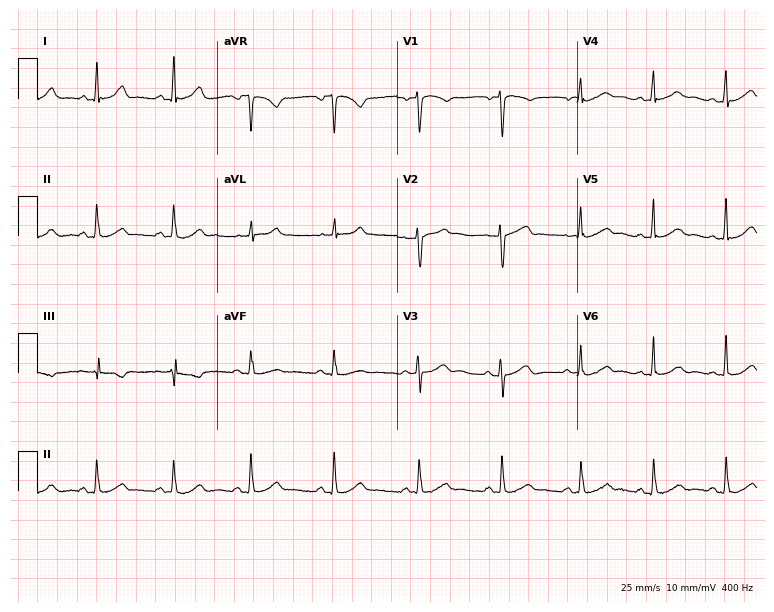
12-lead ECG (7.3-second recording at 400 Hz) from a female, 39 years old. Labelled as a normal ECG.